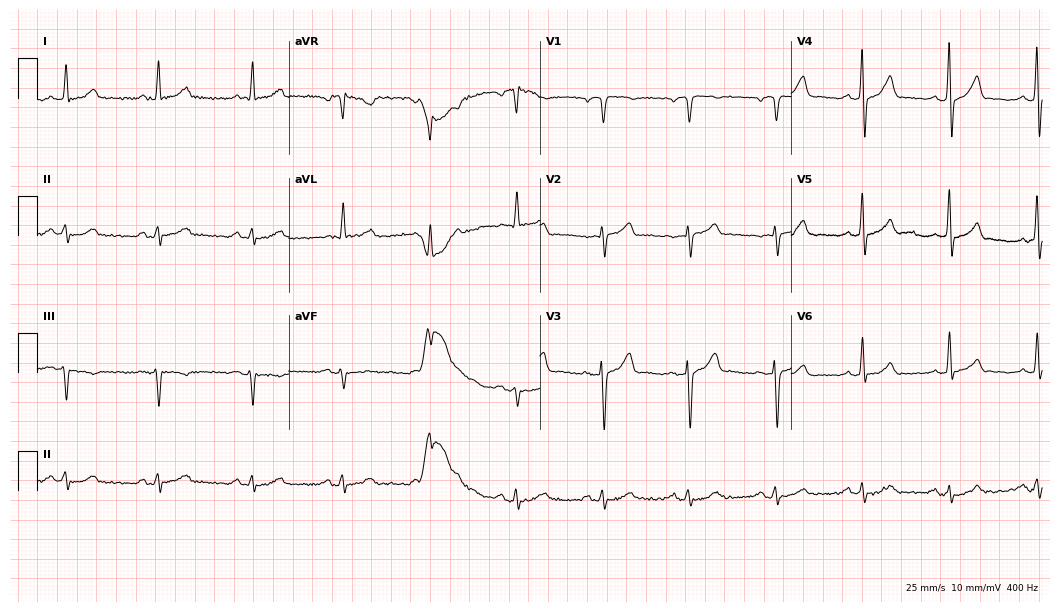
Electrocardiogram (10.2-second recording at 400 Hz), a male, 73 years old. Overall reading on record: normal ECG.